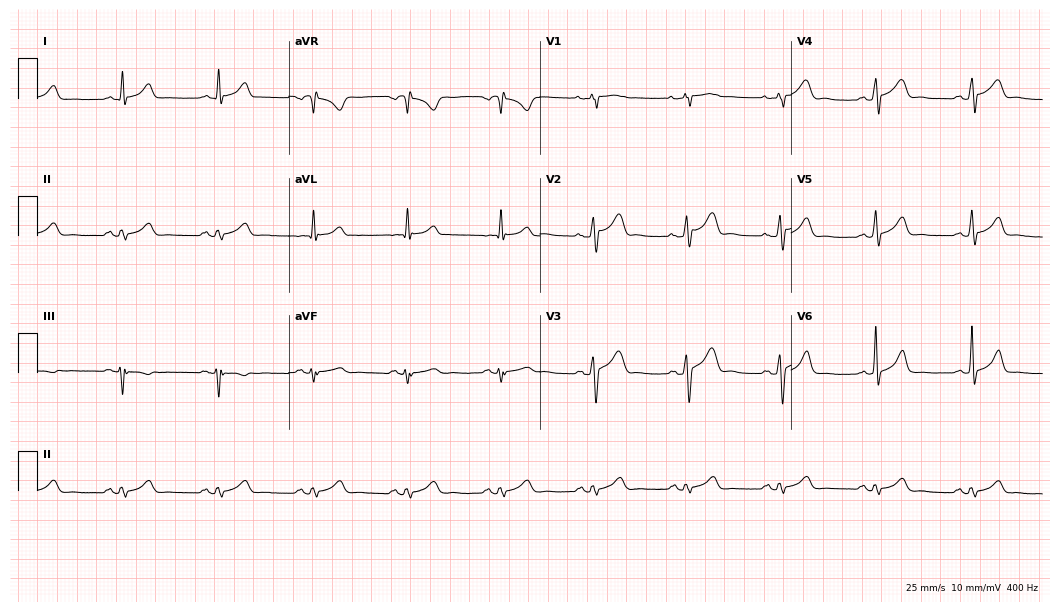
12-lead ECG from a man, 48 years old (10.2-second recording at 400 Hz). Recorded interpretation: within normal limits.